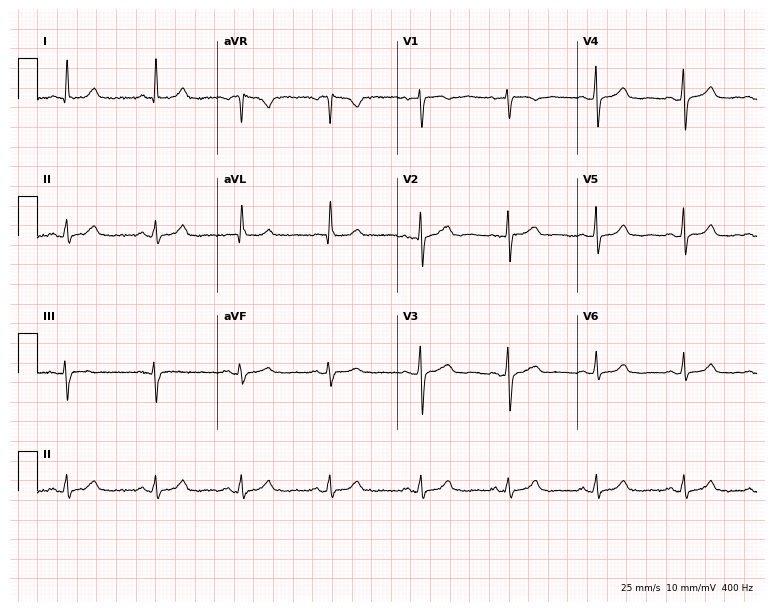
12-lead ECG from a female patient, 53 years old. Recorded interpretation: within normal limits.